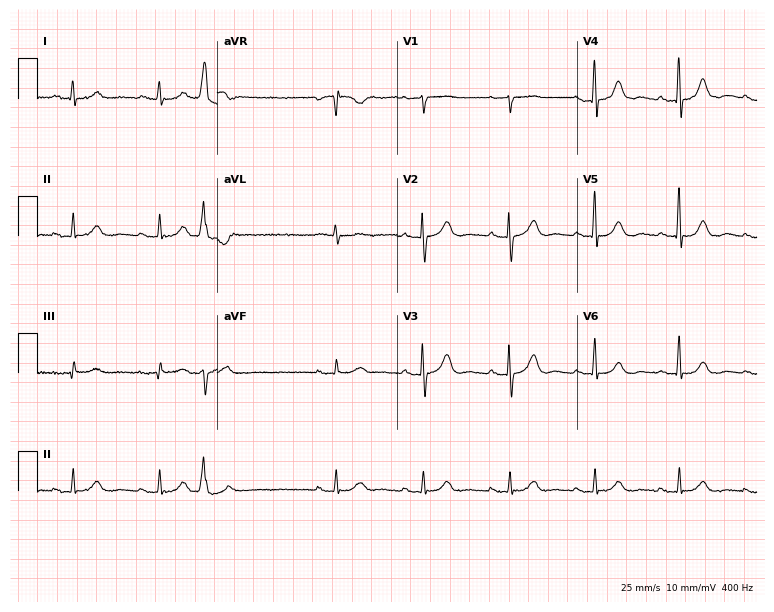
12-lead ECG (7.3-second recording at 400 Hz) from a female, 70 years old. Screened for six findings — first-degree AV block, right bundle branch block, left bundle branch block, sinus bradycardia, atrial fibrillation, sinus tachycardia — none is recorded. Other findings, if any, are not listed.